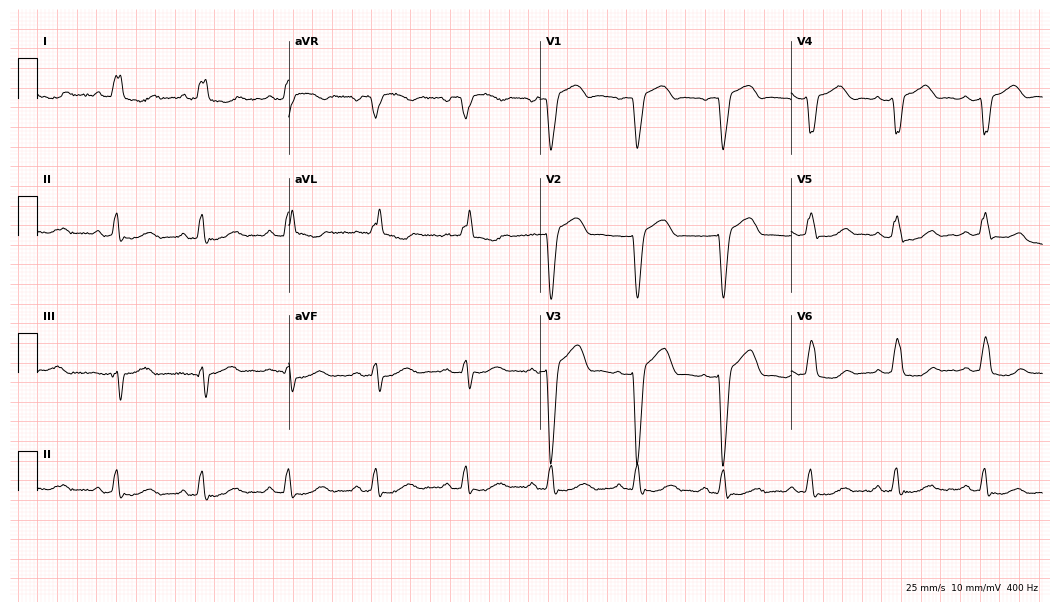
ECG — a man, 58 years old. Findings include left bundle branch block.